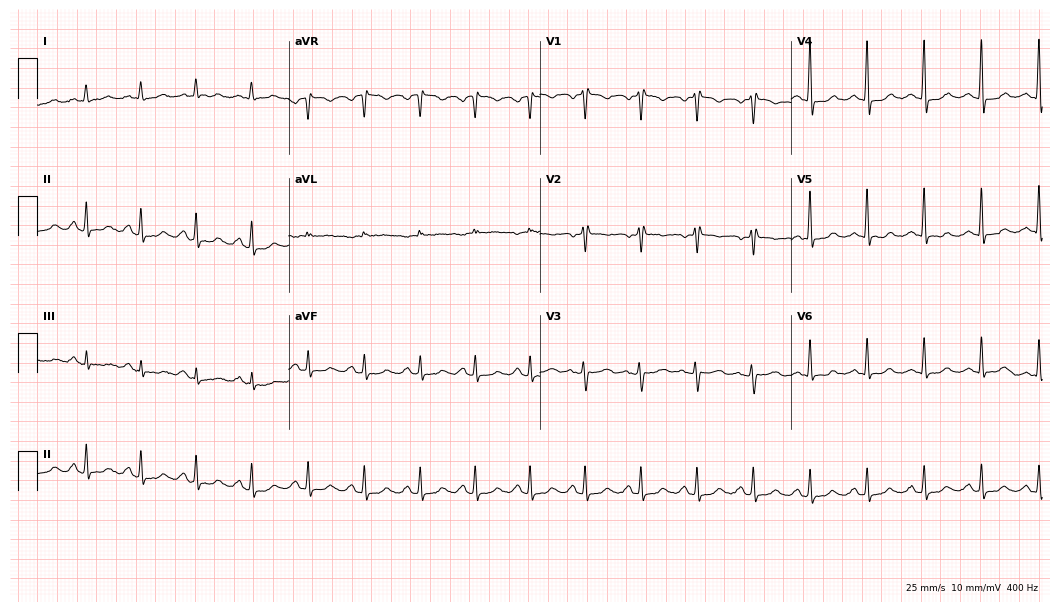
Standard 12-lead ECG recorded from a female patient, 40 years old. The tracing shows sinus tachycardia (a sinus rate of 100 beats per minute or more).